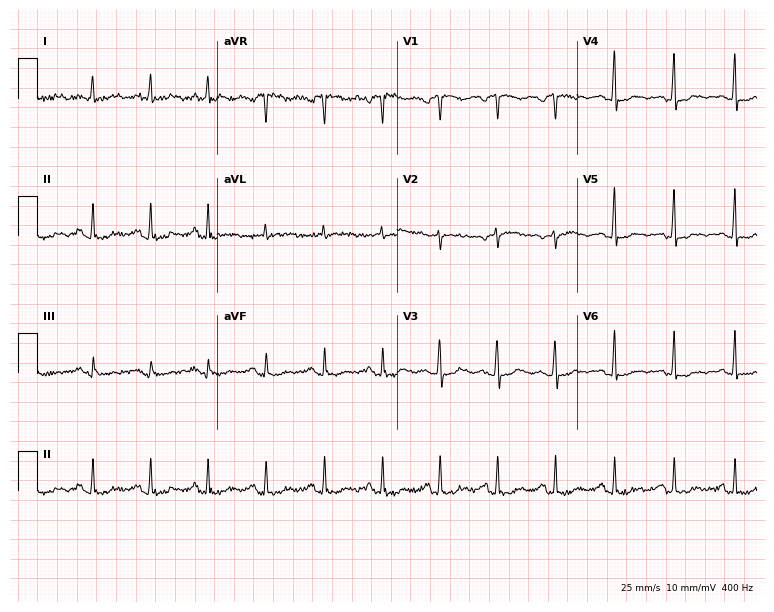
Resting 12-lead electrocardiogram (7.3-second recording at 400 Hz). Patient: a 59-year-old woman. None of these six findings is recorded: first-degree AV block, right bundle branch block, left bundle branch block, sinus bradycardia, atrial fibrillation, sinus tachycardia.